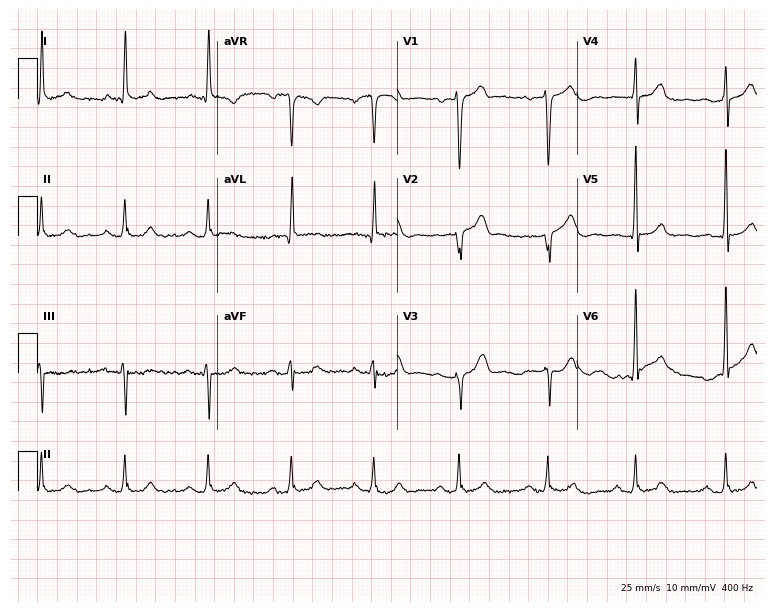
Standard 12-lead ECG recorded from a male, 78 years old. None of these six findings is recorded: first-degree AV block, right bundle branch block, left bundle branch block, sinus bradycardia, atrial fibrillation, sinus tachycardia.